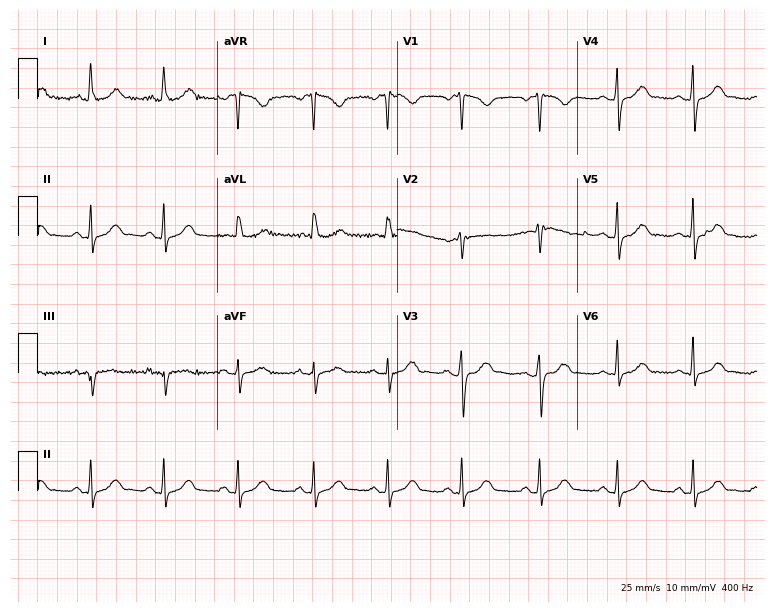
Electrocardiogram, a female, 26 years old. Overall reading on record: normal ECG.